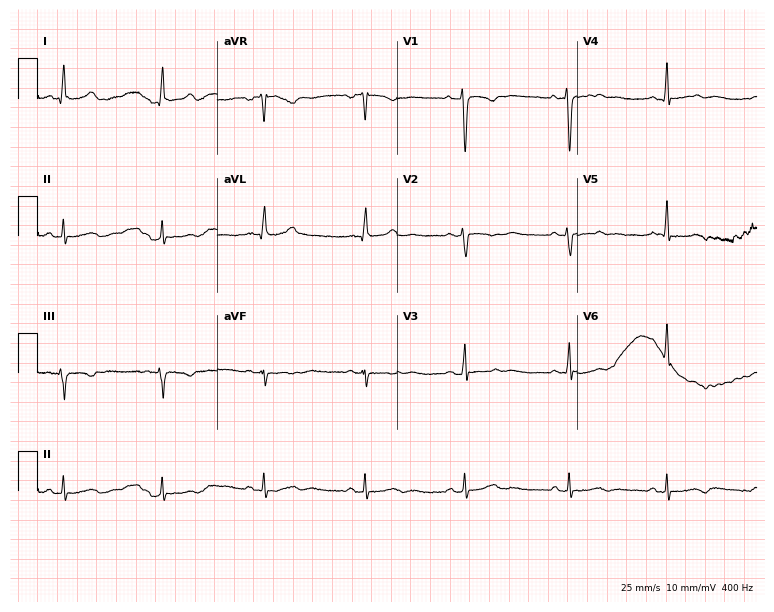
ECG (7.3-second recording at 400 Hz) — a woman, 36 years old. Screened for six findings — first-degree AV block, right bundle branch block (RBBB), left bundle branch block (LBBB), sinus bradycardia, atrial fibrillation (AF), sinus tachycardia — none is recorded. Only these six findings were labelled.